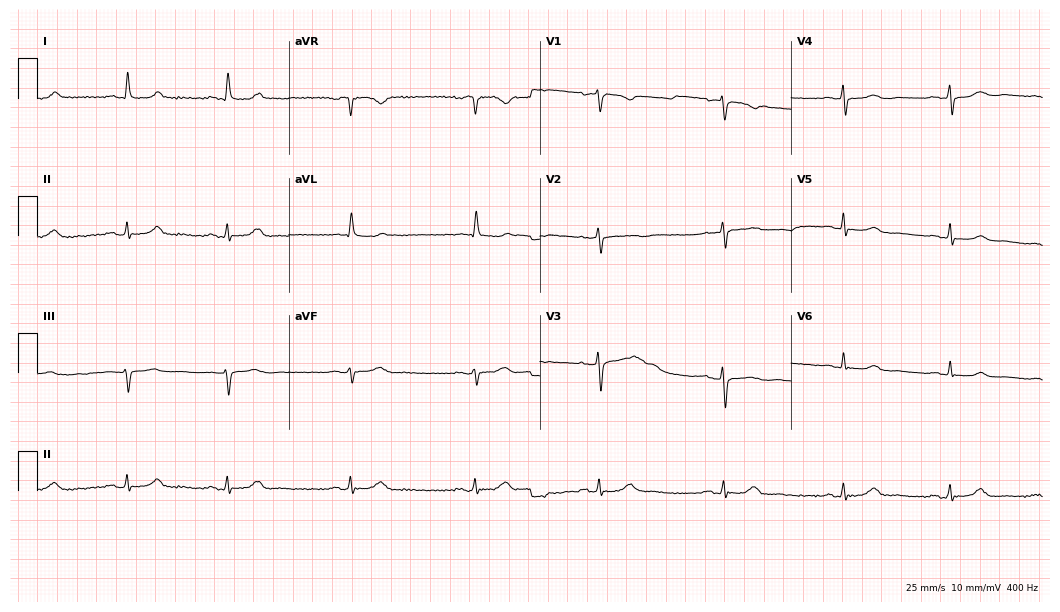
Electrocardiogram, a female patient, 79 years old. Interpretation includes sinus bradycardia (a sinus rate of 50 beats per minute or less).